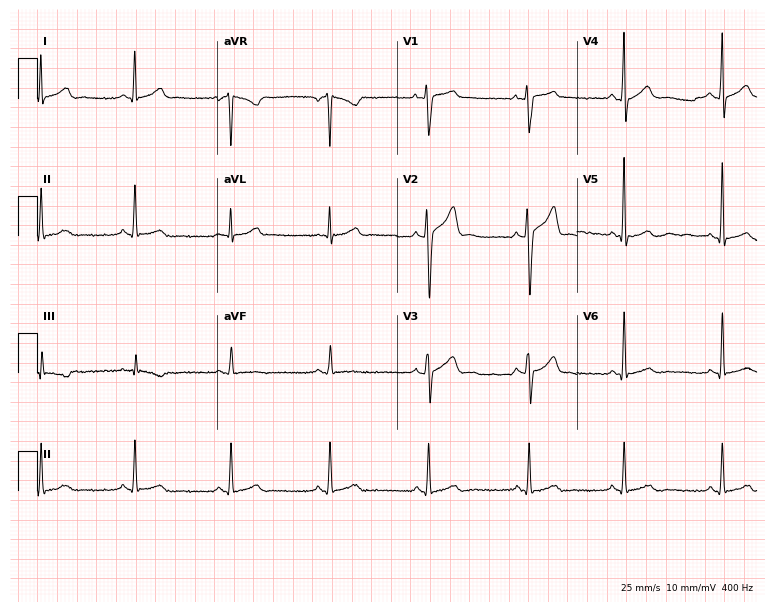
ECG (7.3-second recording at 400 Hz) — a man, 29 years old. Labelled as a normal ECG.